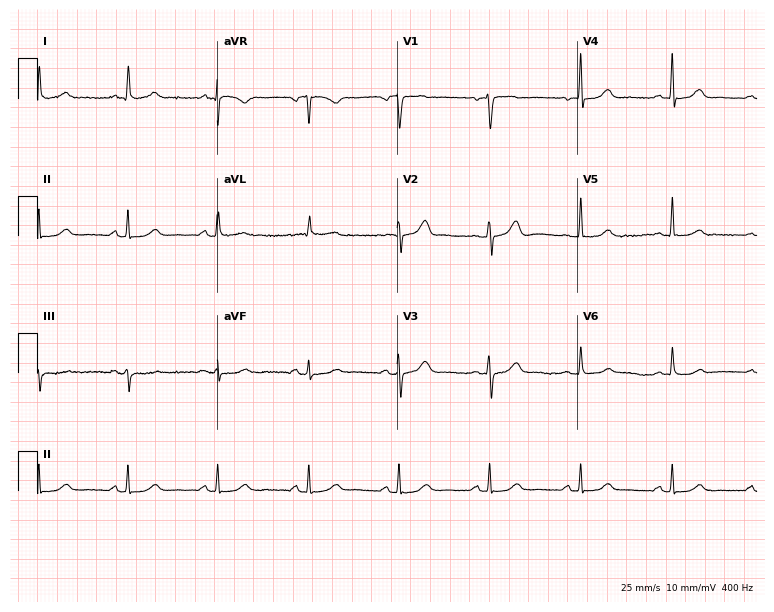
Electrocardiogram, a female, 49 years old. Of the six screened findings (first-degree AV block, right bundle branch block, left bundle branch block, sinus bradycardia, atrial fibrillation, sinus tachycardia), none is recorded. Findings outside these six are not listed.